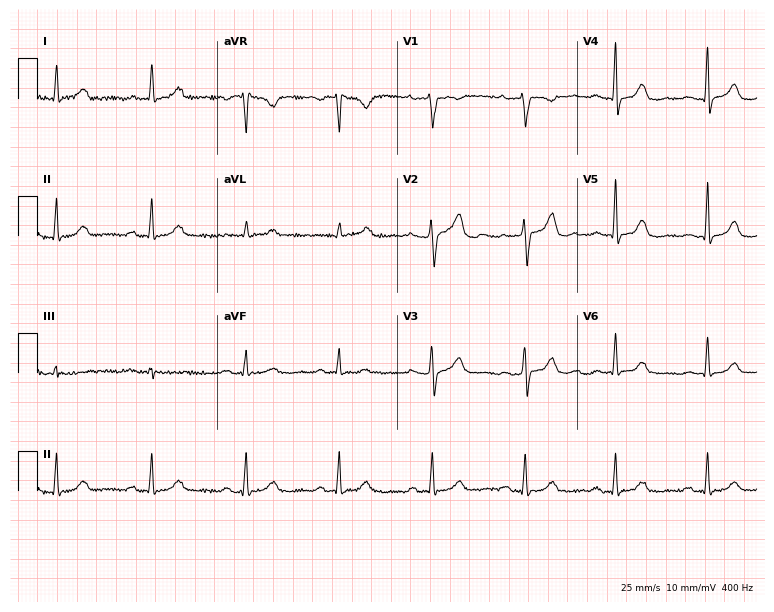
Standard 12-lead ECG recorded from a woman, 62 years old. Read as a normal ECG.